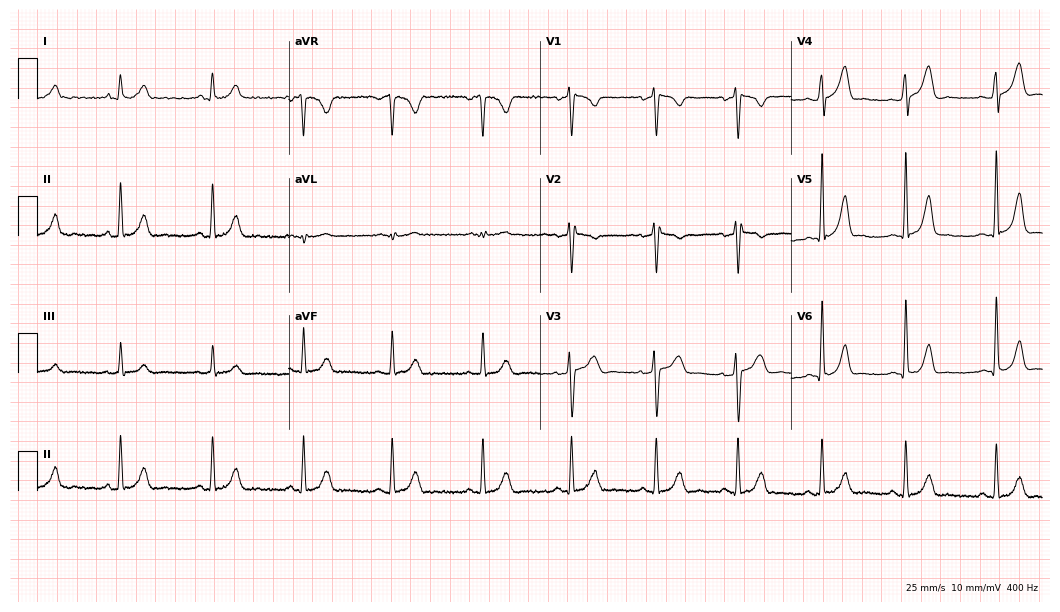
Resting 12-lead electrocardiogram (10.2-second recording at 400 Hz). Patient: a female, 32 years old. None of these six findings is recorded: first-degree AV block, right bundle branch block, left bundle branch block, sinus bradycardia, atrial fibrillation, sinus tachycardia.